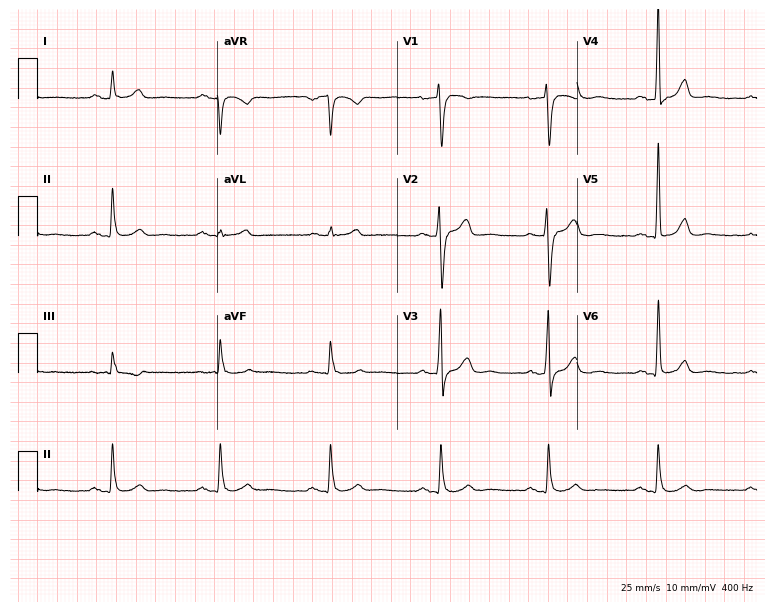
Standard 12-lead ECG recorded from a male, 64 years old (7.3-second recording at 400 Hz). None of these six findings is recorded: first-degree AV block, right bundle branch block (RBBB), left bundle branch block (LBBB), sinus bradycardia, atrial fibrillation (AF), sinus tachycardia.